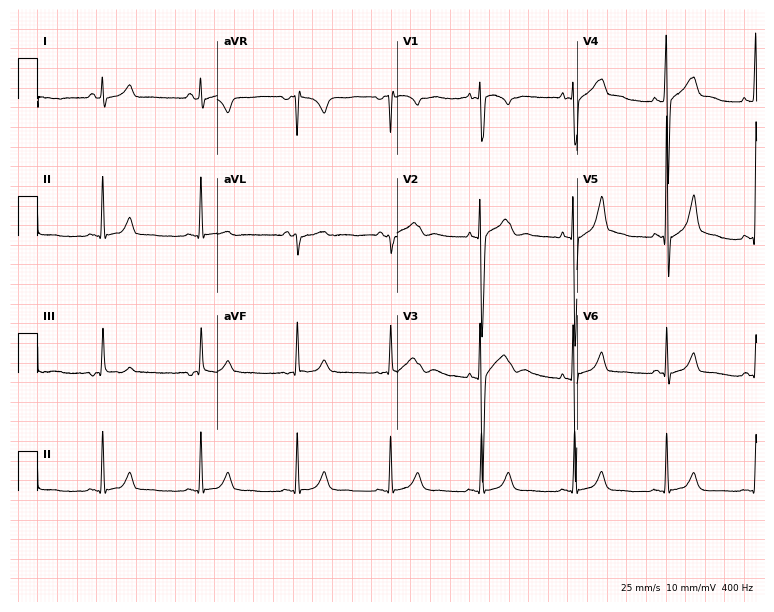
Electrocardiogram, a man, 17 years old. Overall reading on record: normal ECG.